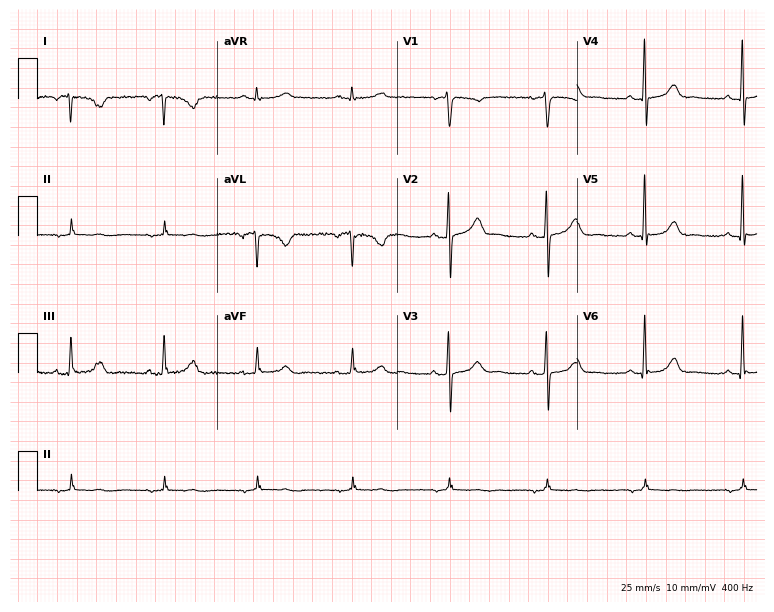
Standard 12-lead ECG recorded from a female, 63 years old. None of these six findings is recorded: first-degree AV block, right bundle branch block (RBBB), left bundle branch block (LBBB), sinus bradycardia, atrial fibrillation (AF), sinus tachycardia.